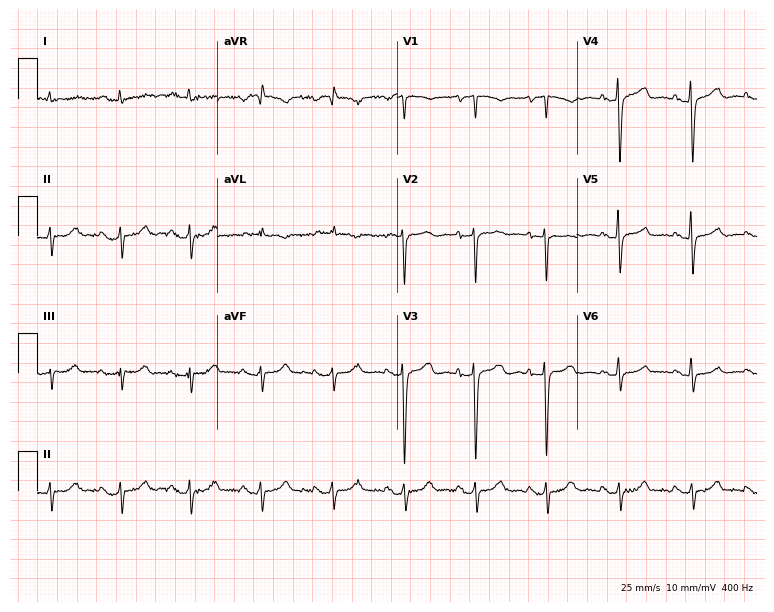
12-lead ECG from a female, 72 years old (7.3-second recording at 400 Hz). No first-degree AV block, right bundle branch block, left bundle branch block, sinus bradycardia, atrial fibrillation or sinus tachycardia recorded for this tracing. Other findings, if any, are not listed.